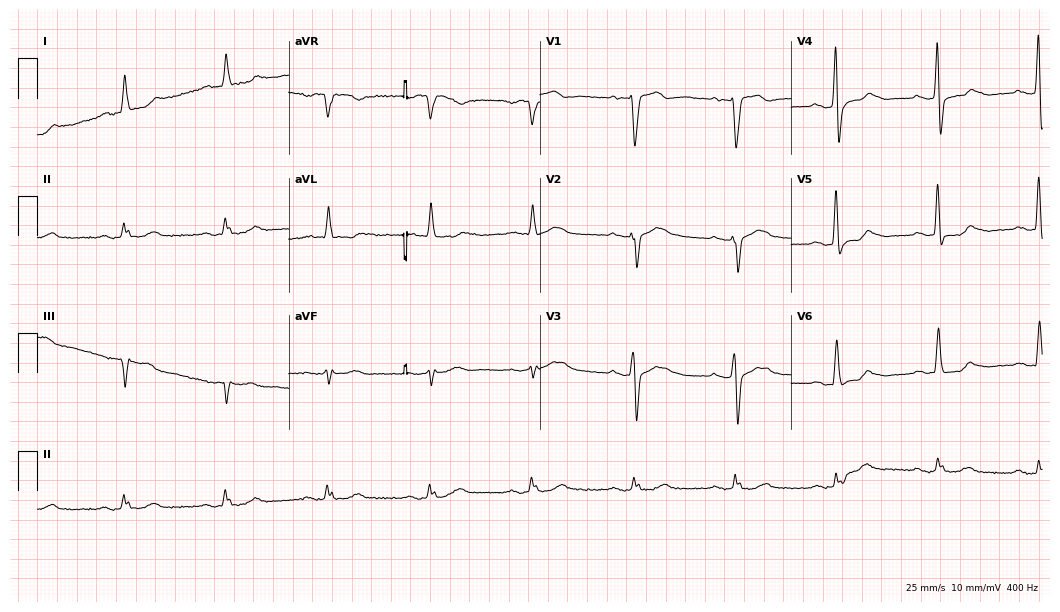
12-lead ECG (10.2-second recording at 400 Hz) from a man, 75 years old. Screened for six findings — first-degree AV block, right bundle branch block, left bundle branch block, sinus bradycardia, atrial fibrillation, sinus tachycardia — none is recorded. Findings outside these six are not listed.